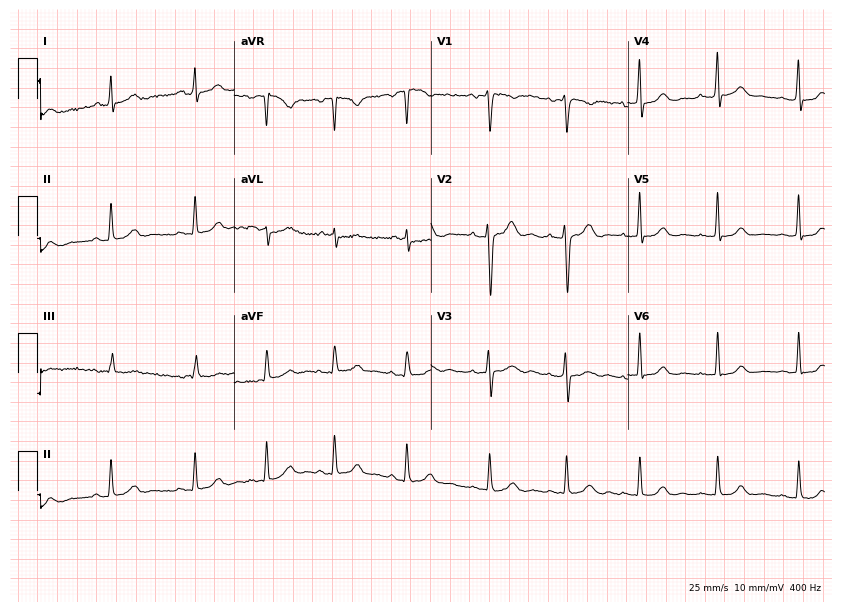
Resting 12-lead electrocardiogram. Patient: a female, 24 years old. Read as a normal ECG.